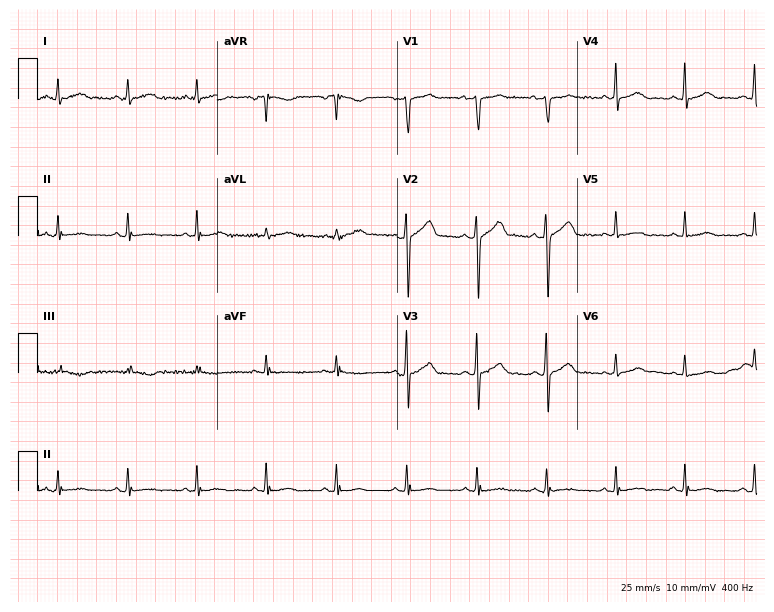
ECG — a 76-year-old male patient. Screened for six findings — first-degree AV block, right bundle branch block, left bundle branch block, sinus bradycardia, atrial fibrillation, sinus tachycardia — none is recorded.